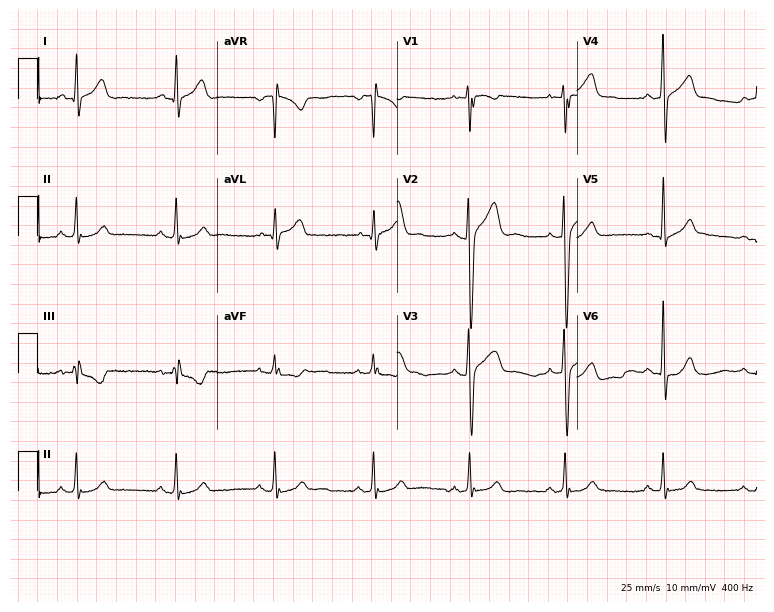
Standard 12-lead ECG recorded from a male, 34 years old (7.3-second recording at 400 Hz). None of these six findings is recorded: first-degree AV block, right bundle branch block (RBBB), left bundle branch block (LBBB), sinus bradycardia, atrial fibrillation (AF), sinus tachycardia.